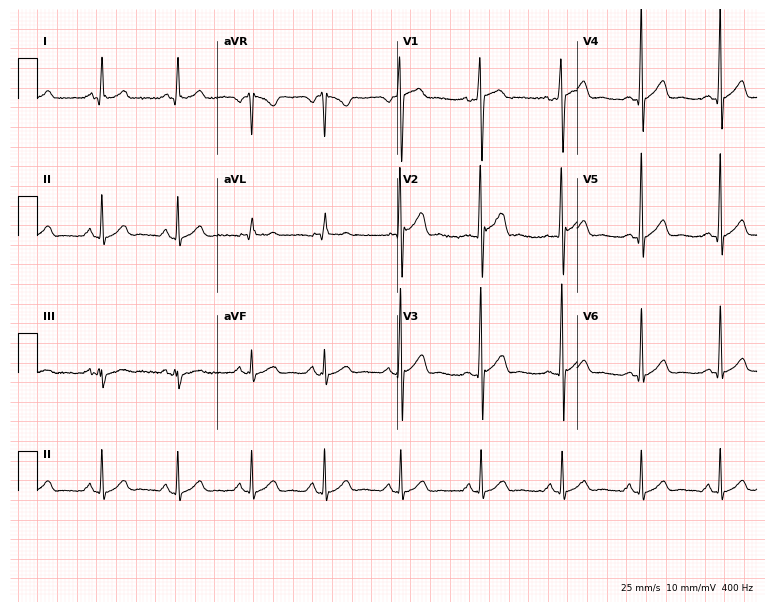
Electrocardiogram (7.3-second recording at 400 Hz), a man, 25 years old. Of the six screened findings (first-degree AV block, right bundle branch block, left bundle branch block, sinus bradycardia, atrial fibrillation, sinus tachycardia), none is recorded.